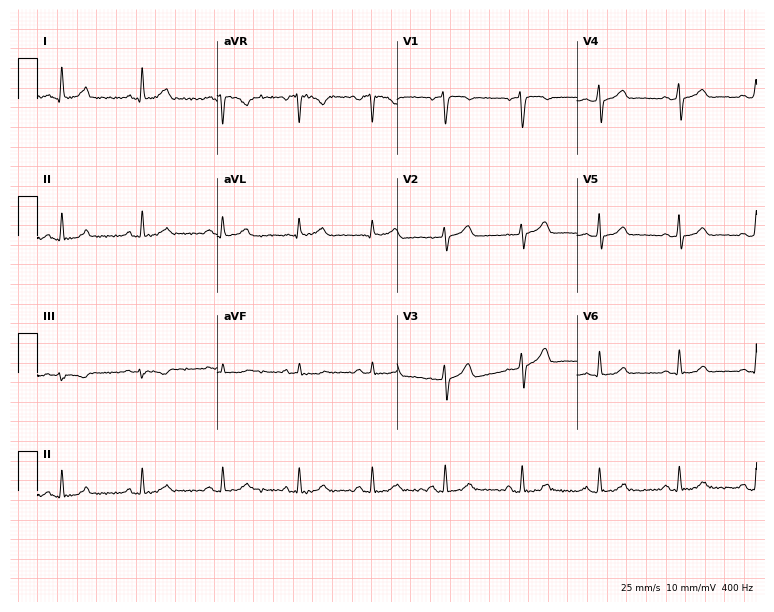
12-lead ECG (7.3-second recording at 400 Hz) from a 41-year-old woman. Screened for six findings — first-degree AV block, right bundle branch block, left bundle branch block, sinus bradycardia, atrial fibrillation, sinus tachycardia — none is recorded.